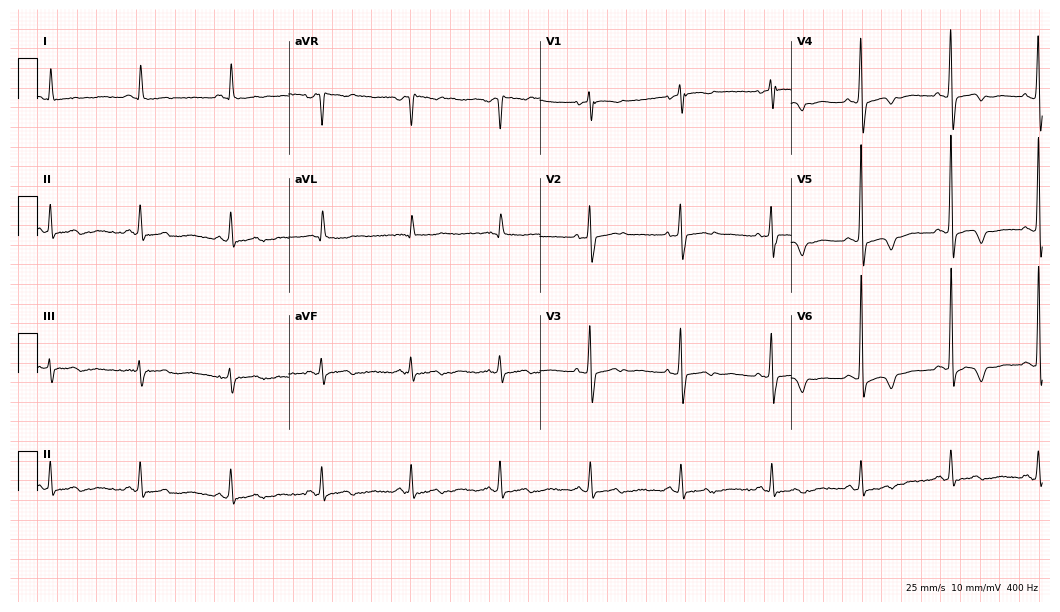
12-lead ECG from a male patient, 84 years old (10.2-second recording at 400 Hz). Recorded interpretation: within normal limits.